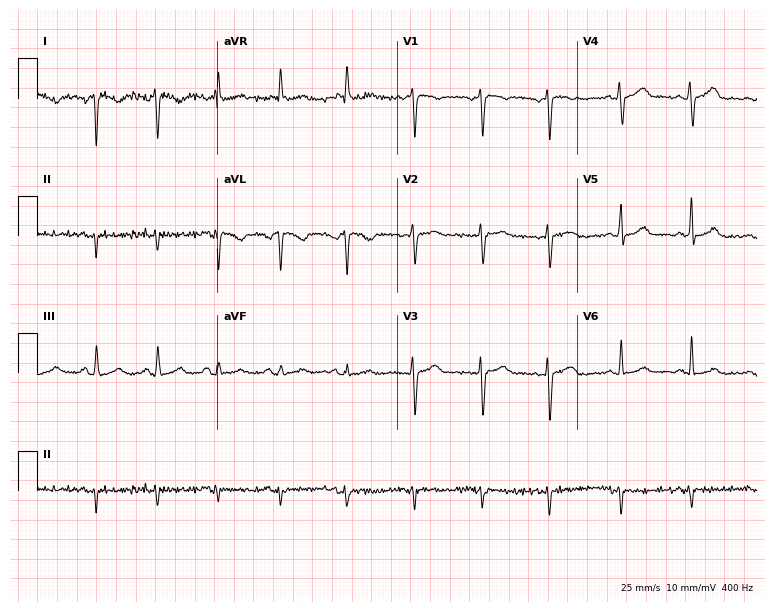
ECG — a female, 41 years old. Labelled as a normal ECG.